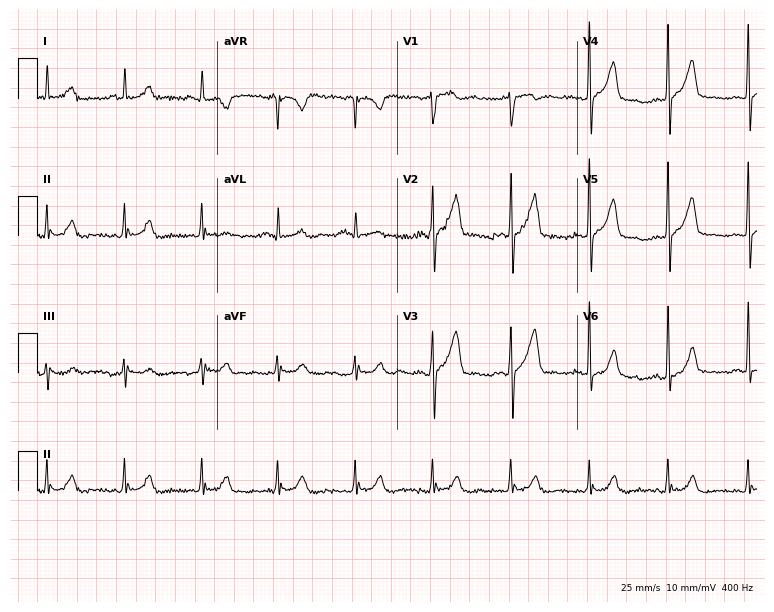
Standard 12-lead ECG recorded from a male, 55 years old (7.3-second recording at 400 Hz). None of these six findings is recorded: first-degree AV block, right bundle branch block, left bundle branch block, sinus bradycardia, atrial fibrillation, sinus tachycardia.